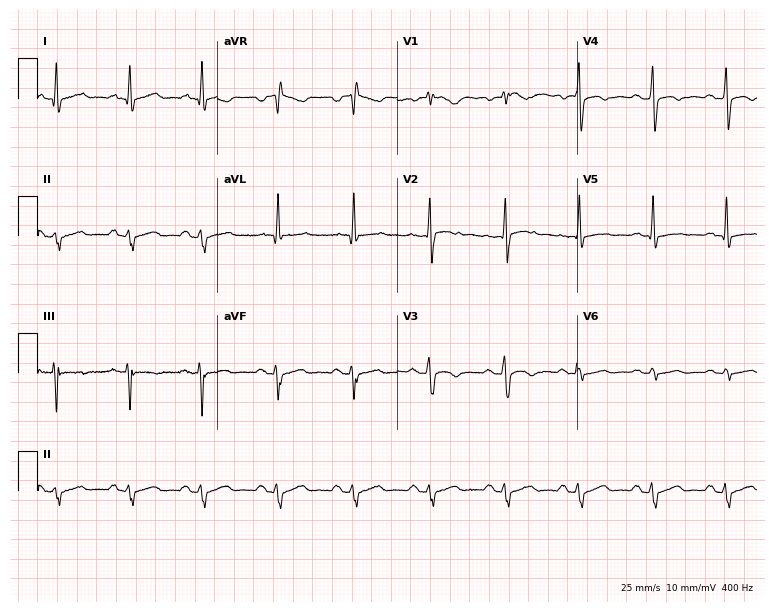
12-lead ECG from a 47-year-old man (7.3-second recording at 400 Hz). No first-degree AV block, right bundle branch block (RBBB), left bundle branch block (LBBB), sinus bradycardia, atrial fibrillation (AF) or sinus tachycardia recorded for this tracing. Findings outside these six are not listed.